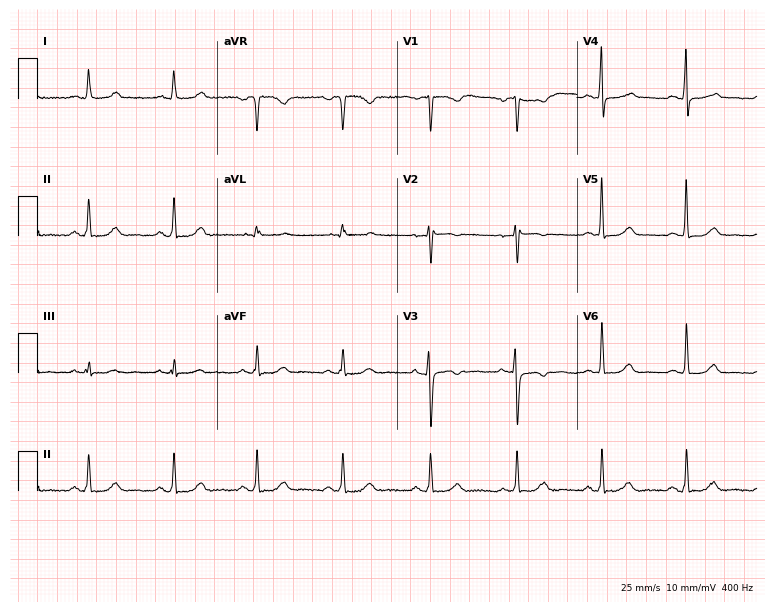
Electrocardiogram, a 51-year-old woman. Overall reading on record: normal ECG.